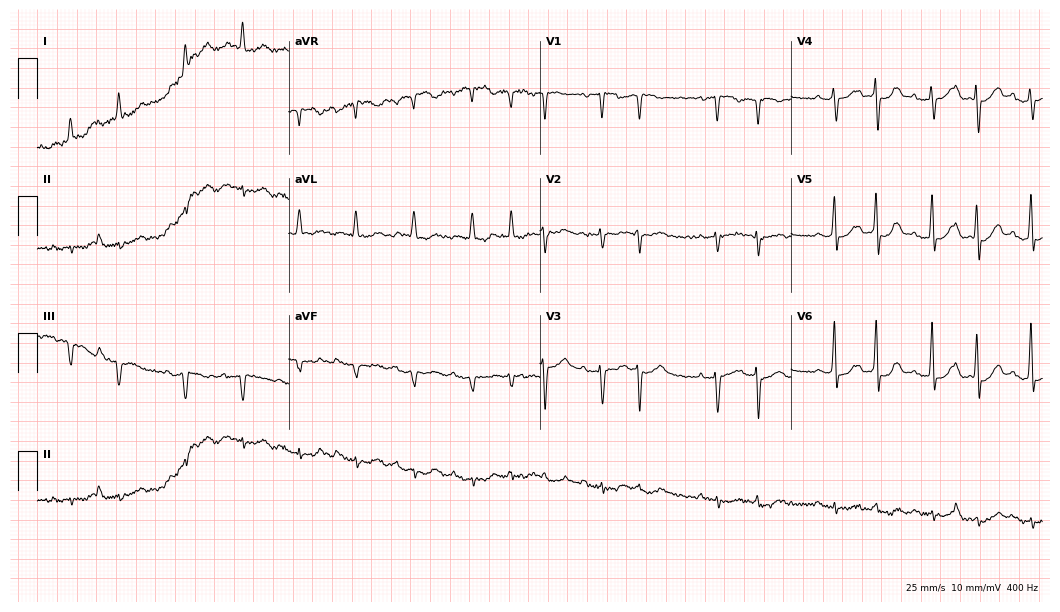
Electrocardiogram, a 79-year-old male patient. Of the six screened findings (first-degree AV block, right bundle branch block (RBBB), left bundle branch block (LBBB), sinus bradycardia, atrial fibrillation (AF), sinus tachycardia), none is recorded. Other findings, if any, are not listed.